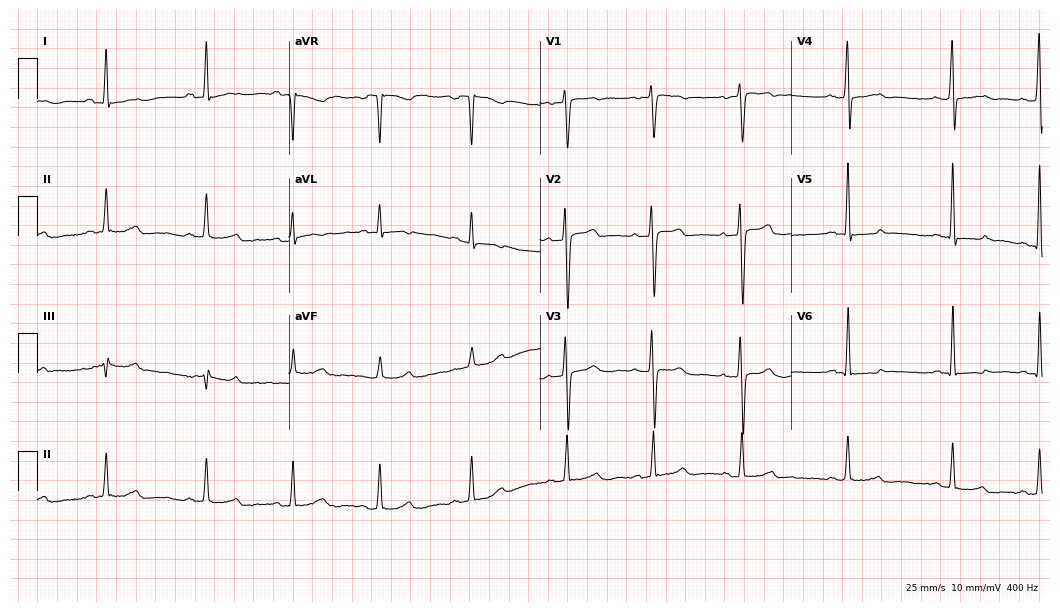
Electrocardiogram, a woman, 39 years old. Of the six screened findings (first-degree AV block, right bundle branch block, left bundle branch block, sinus bradycardia, atrial fibrillation, sinus tachycardia), none is recorded. Only these six findings were labelled.